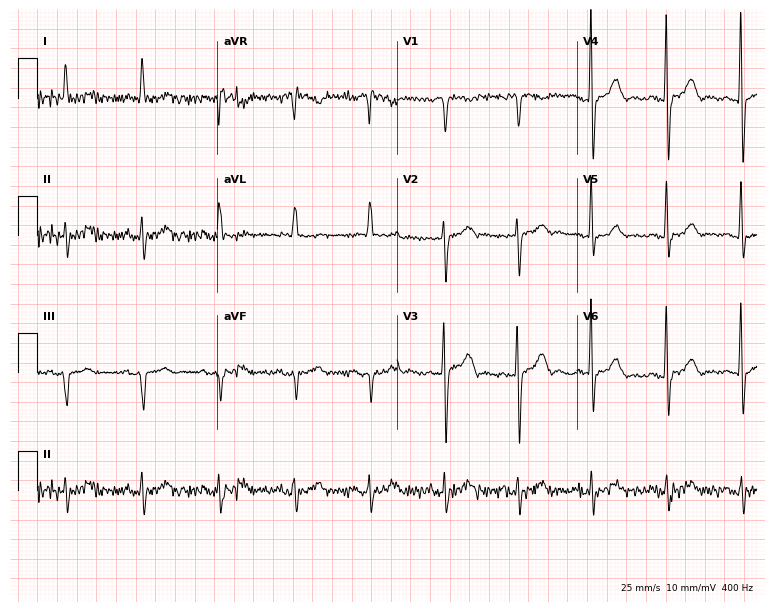
12-lead ECG from a female, 69 years old. Screened for six findings — first-degree AV block, right bundle branch block, left bundle branch block, sinus bradycardia, atrial fibrillation, sinus tachycardia — none is recorded. Other findings, if any, are not listed.